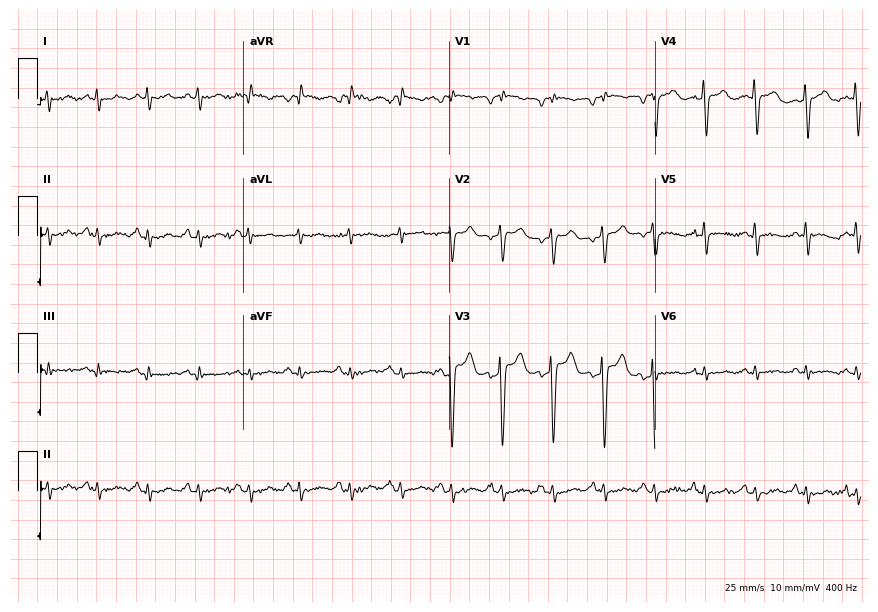
12-lead ECG from a man, 69 years old (8.4-second recording at 400 Hz). Shows sinus tachycardia (a sinus rate of 100 beats per minute or more).